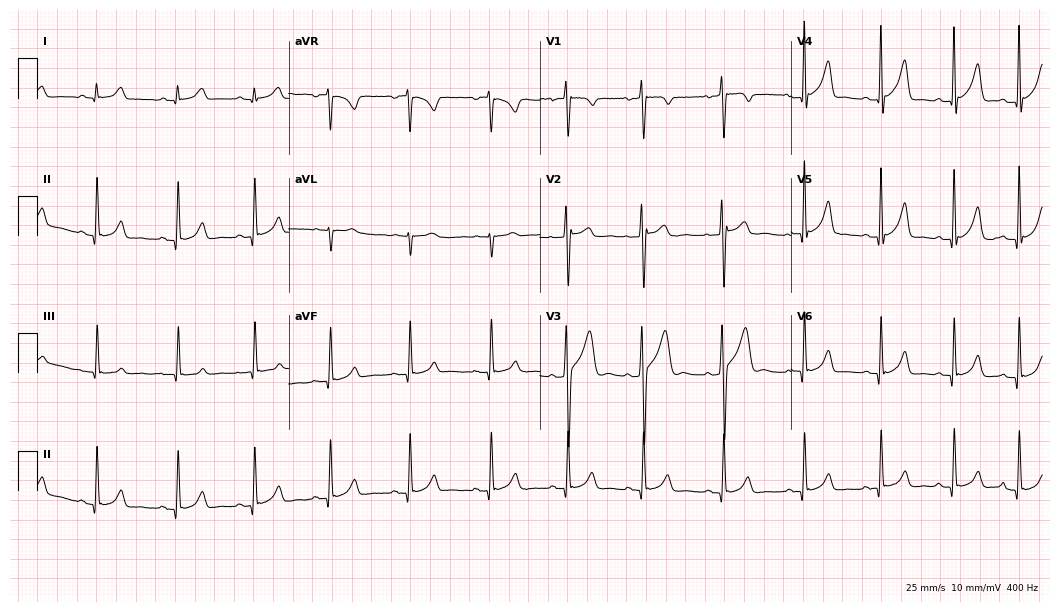
12-lead ECG from a male, 18 years old. Labelled as a normal ECG.